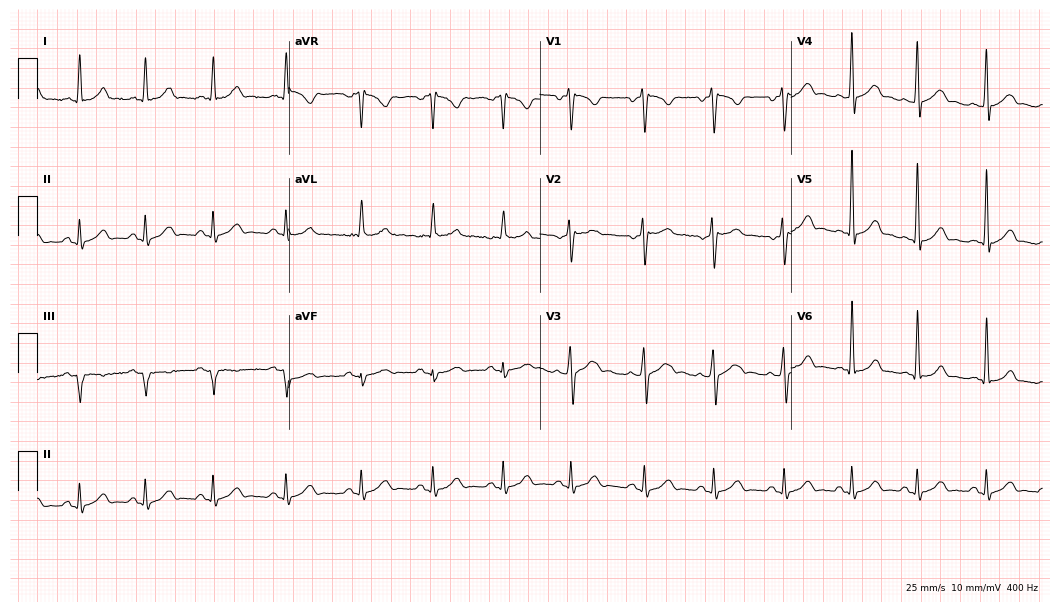
Electrocardiogram (10.2-second recording at 400 Hz), a 34-year-old male. Overall reading on record: normal ECG.